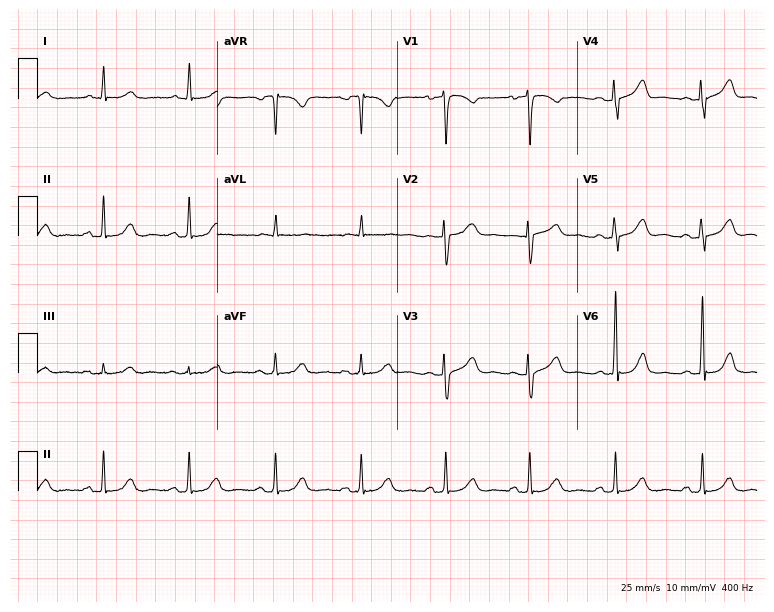
Electrocardiogram, a woman, 60 years old. Overall reading on record: normal ECG.